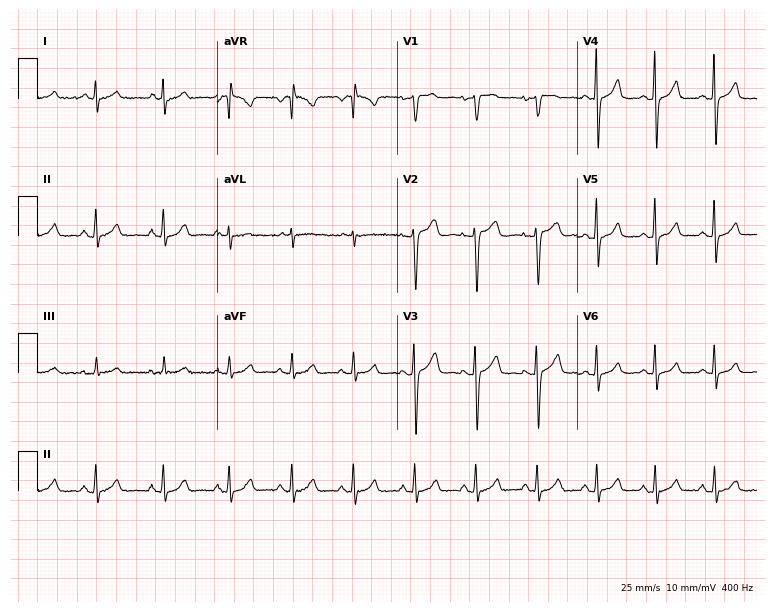
Standard 12-lead ECG recorded from a woman, 33 years old (7.3-second recording at 400 Hz). None of these six findings is recorded: first-degree AV block, right bundle branch block (RBBB), left bundle branch block (LBBB), sinus bradycardia, atrial fibrillation (AF), sinus tachycardia. Findings outside these six are not listed.